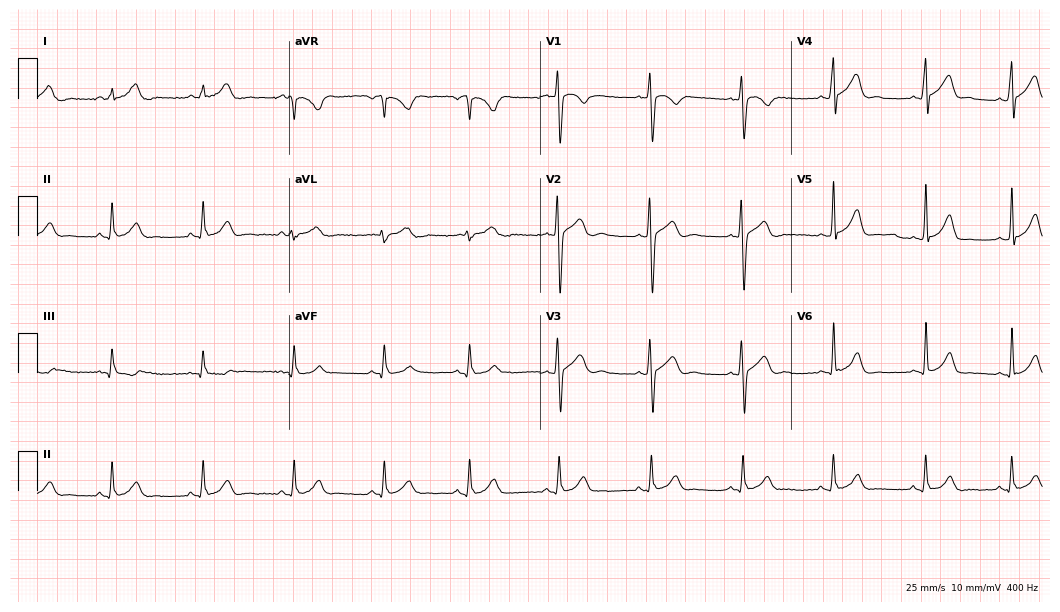
12-lead ECG from a 20-year-old male. Labelled as a normal ECG.